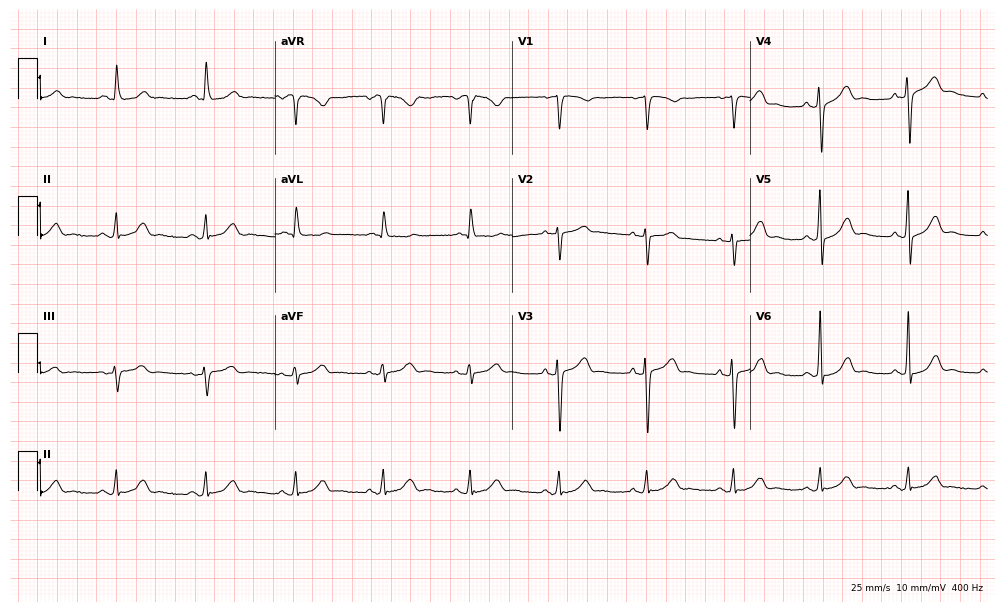
12-lead ECG from a 62-year-old male. Recorded interpretation: within normal limits.